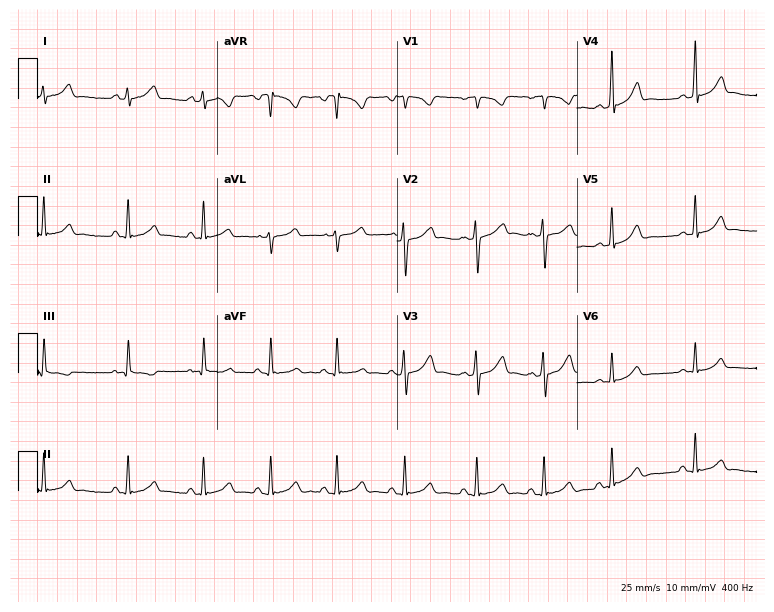
Standard 12-lead ECG recorded from a 17-year-old female patient (7.3-second recording at 400 Hz). None of these six findings is recorded: first-degree AV block, right bundle branch block, left bundle branch block, sinus bradycardia, atrial fibrillation, sinus tachycardia.